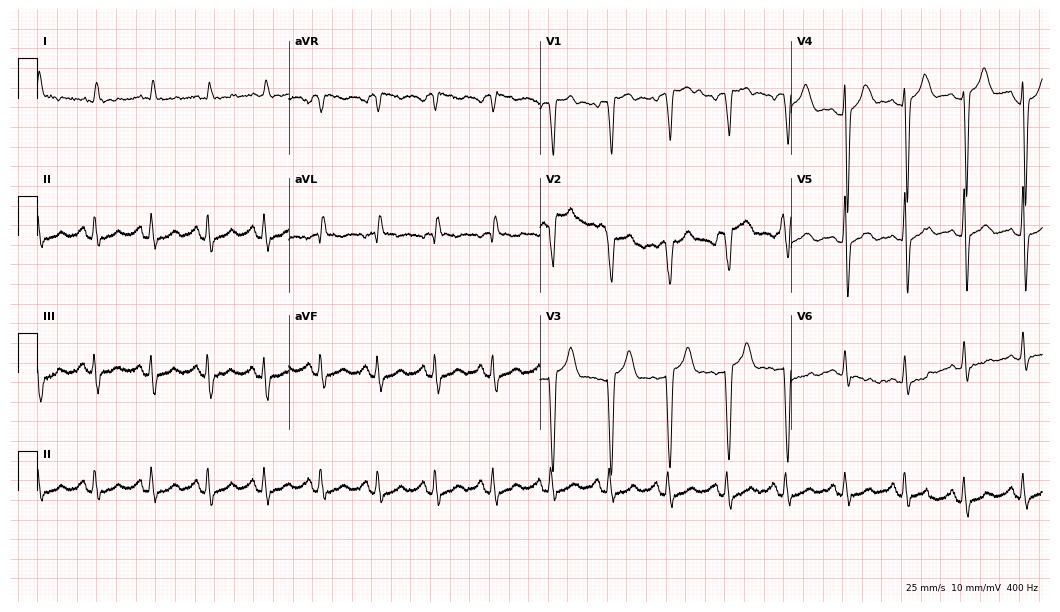
ECG — a male, 65 years old. Screened for six findings — first-degree AV block, right bundle branch block, left bundle branch block, sinus bradycardia, atrial fibrillation, sinus tachycardia — none is recorded.